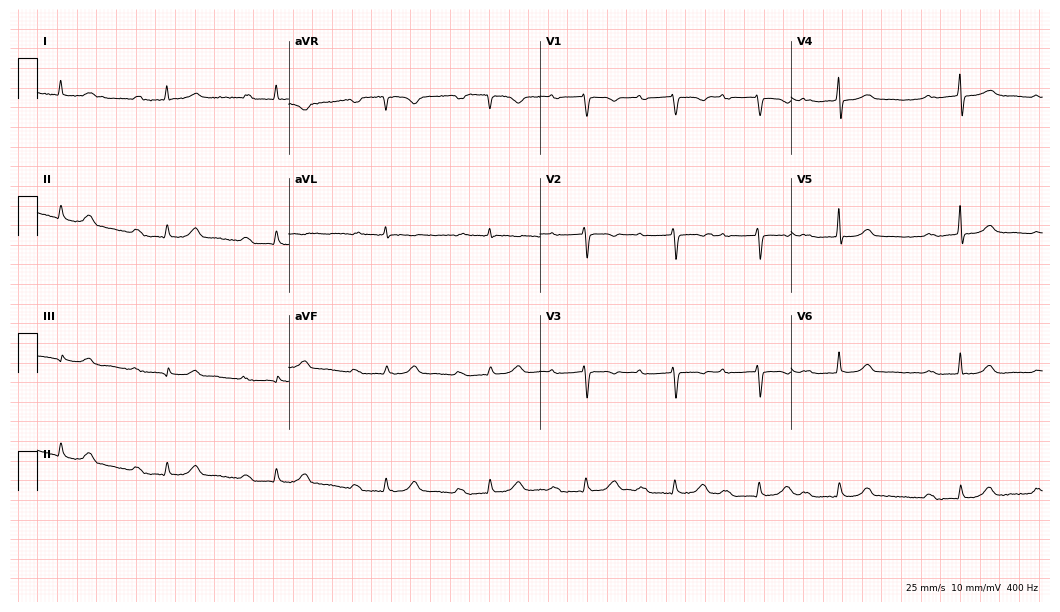
12-lead ECG from a 76-year-old female patient. Labelled as a normal ECG.